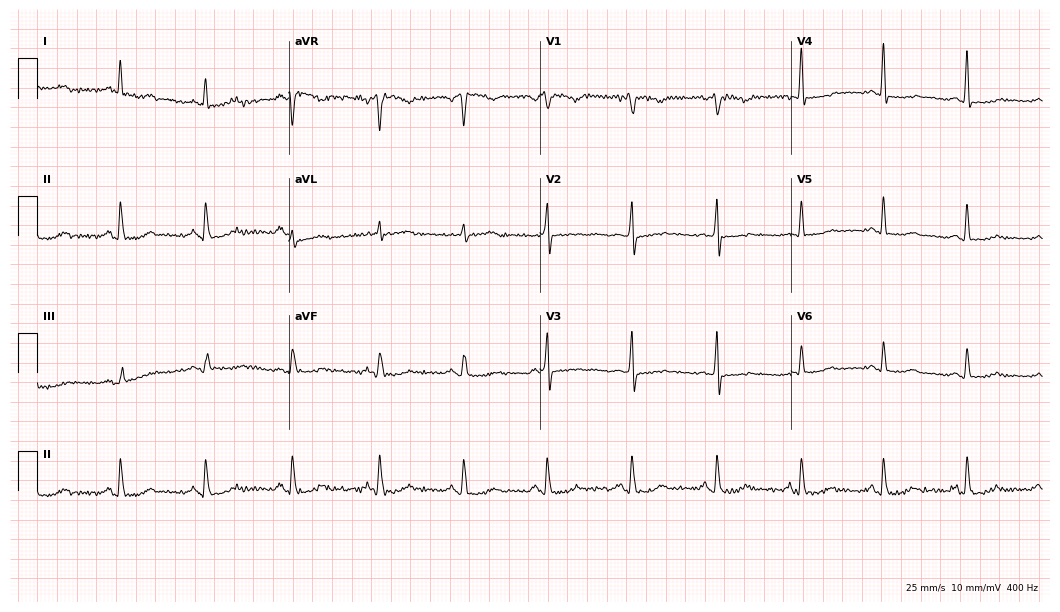
Resting 12-lead electrocardiogram. Patient: a female, 60 years old. None of these six findings is recorded: first-degree AV block, right bundle branch block (RBBB), left bundle branch block (LBBB), sinus bradycardia, atrial fibrillation (AF), sinus tachycardia.